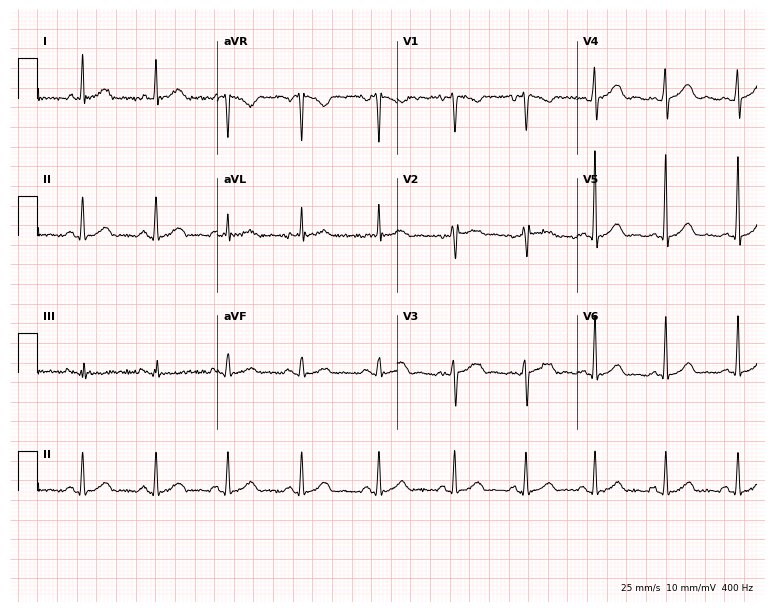
Electrocardiogram, a 37-year-old female. Of the six screened findings (first-degree AV block, right bundle branch block, left bundle branch block, sinus bradycardia, atrial fibrillation, sinus tachycardia), none is recorded. Findings outside these six are not listed.